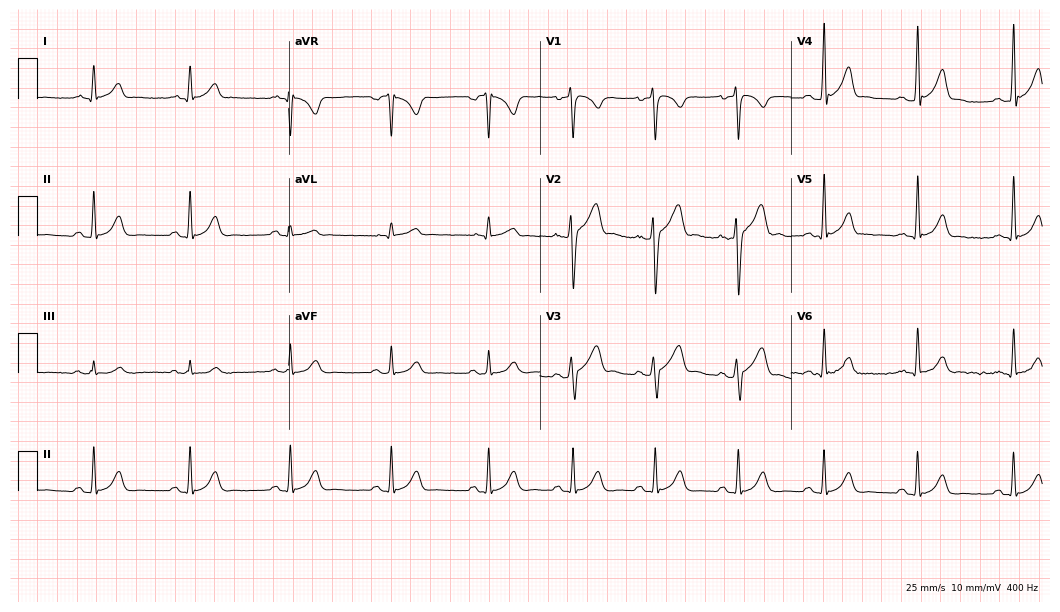
ECG — a 22-year-old male patient. Labelled as a normal ECG.